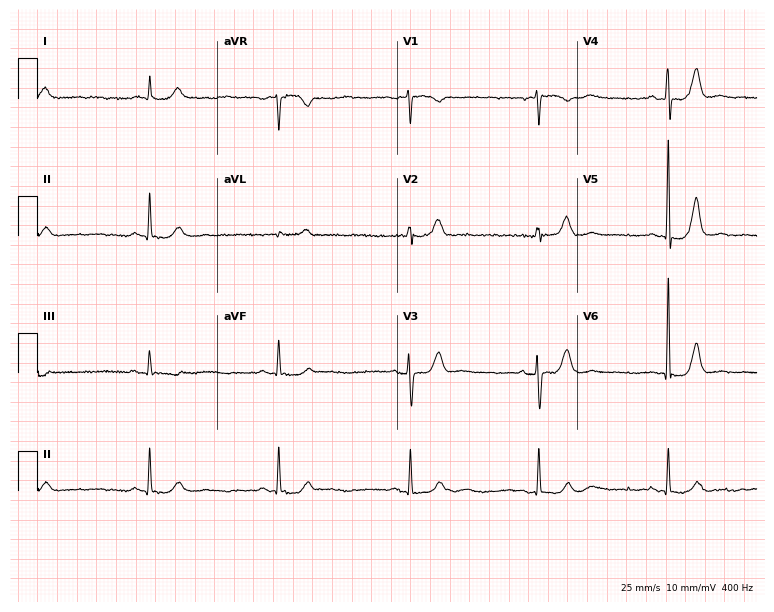
12-lead ECG from an 81-year-old female. Findings include sinus bradycardia (a sinus rate of 50 beats per minute or less).